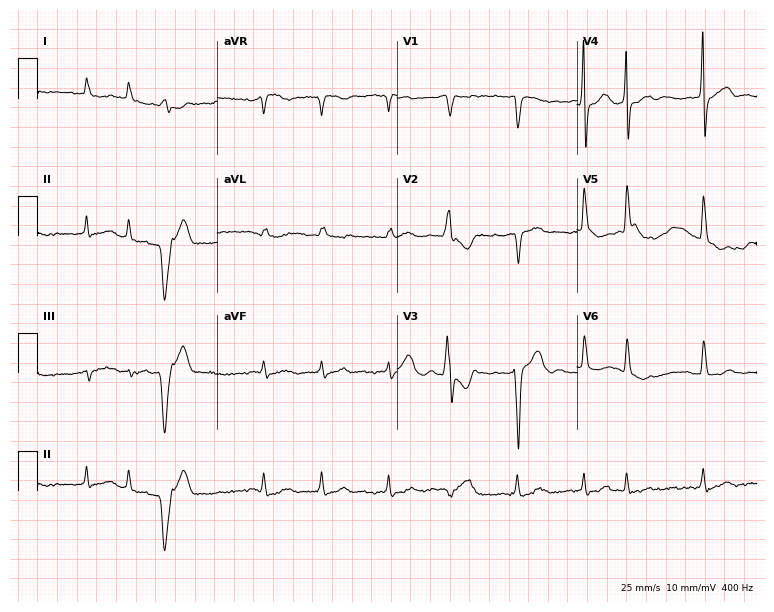
Standard 12-lead ECG recorded from a male patient, 74 years old. The tracing shows left bundle branch block, atrial fibrillation.